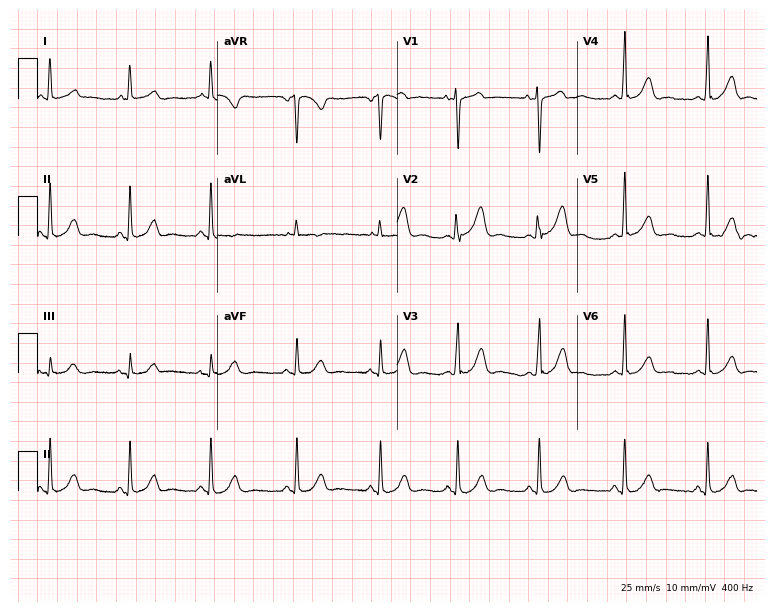
Electrocardiogram, a woman, 18 years old. Overall reading on record: normal ECG.